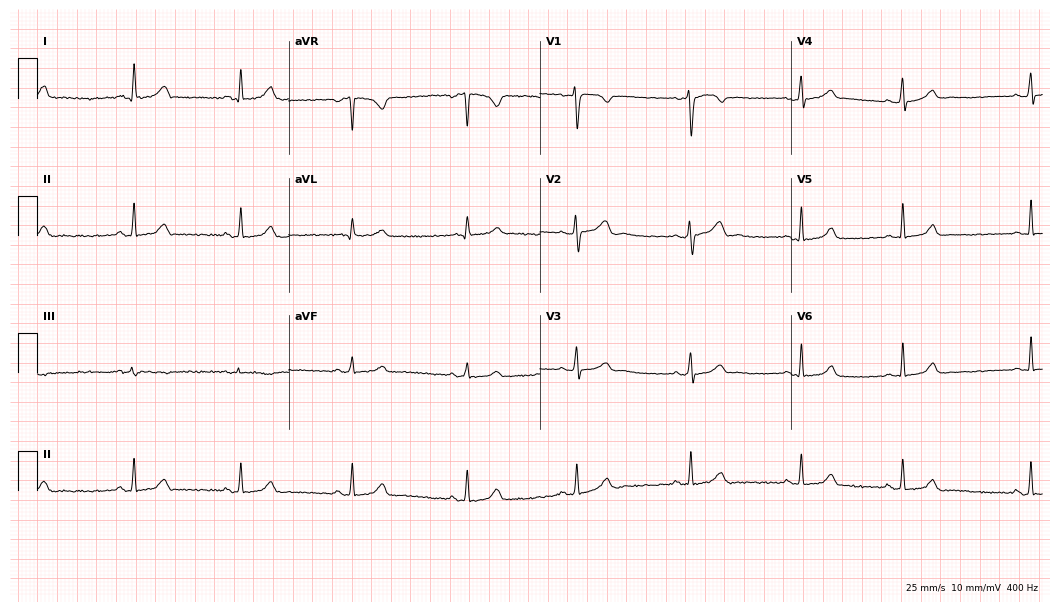
12-lead ECG from a 25-year-old woman. Recorded interpretation: within normal limits.